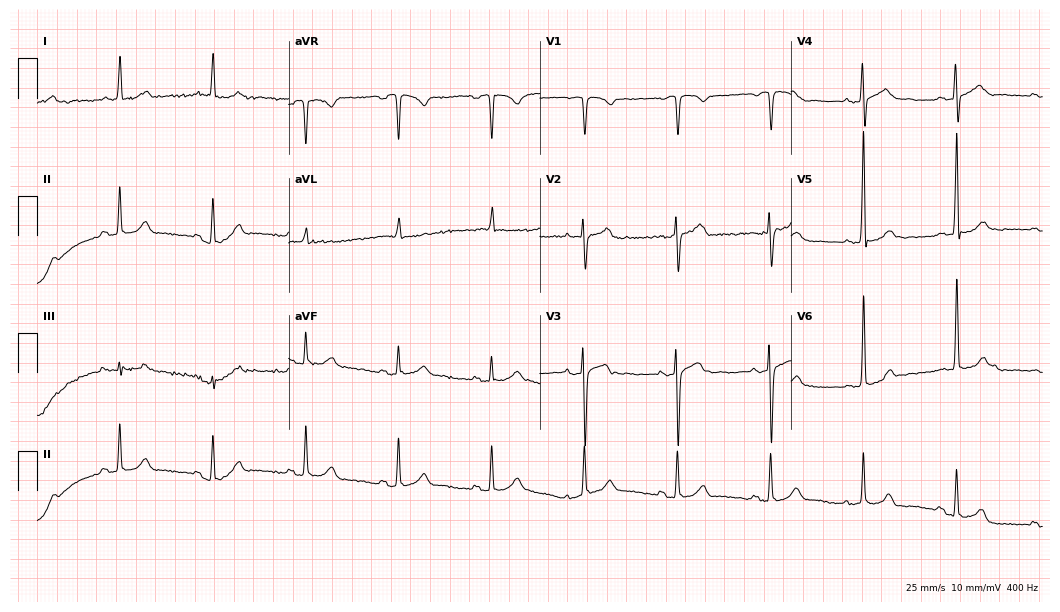
Resting 12-lead electrocardiogram (10.2-second recording at 400 Hz). Patient: a female, 78 years old. Read as a normal ECG.